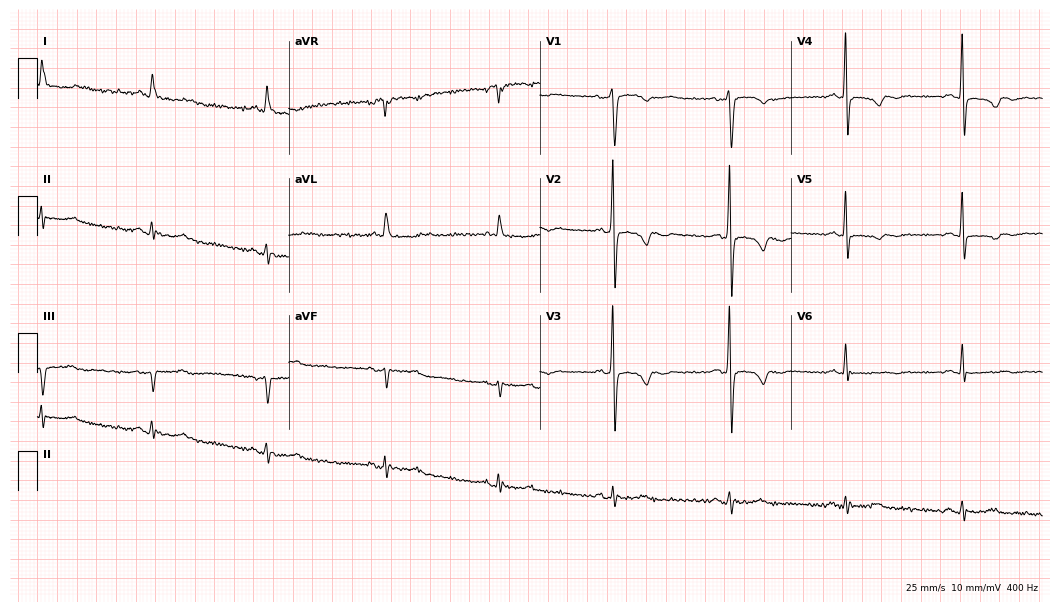
12-lead ECG from a female patient, 80 years old (10.2-second recording at 400 Hz). No first-degree AV block, right bundle branch block (RBBB), left bundle branch block (LBBB), sinus bradycardia, atrial fibrillation (AF) or sinus tachycardia recorded for this tracing. Findings outside these six are not listed.